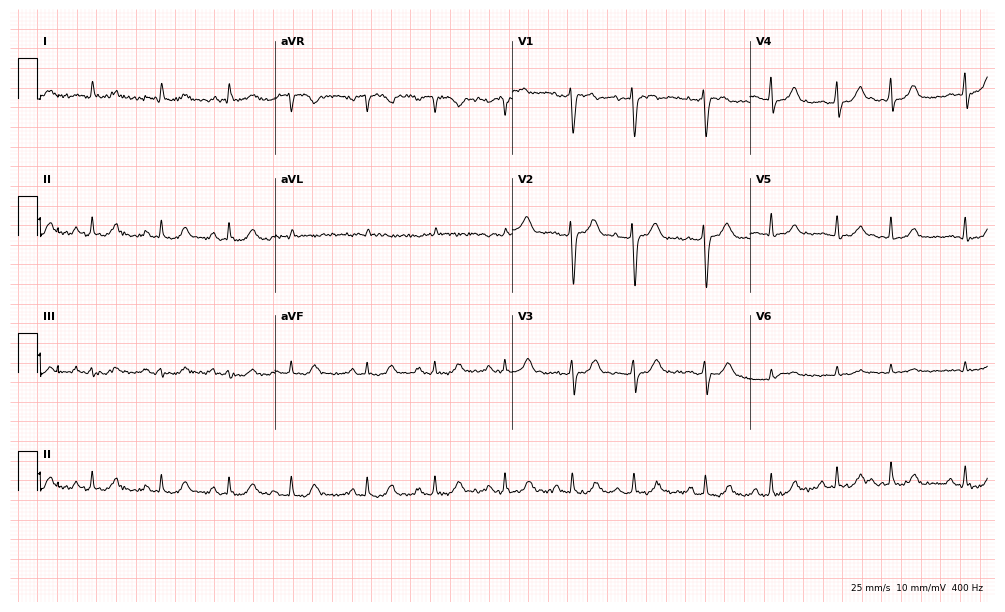
12-lead ECG (9.7-second recording at 400 Hz) from a 64-year-old male patient. Labelled as a normal ECG.